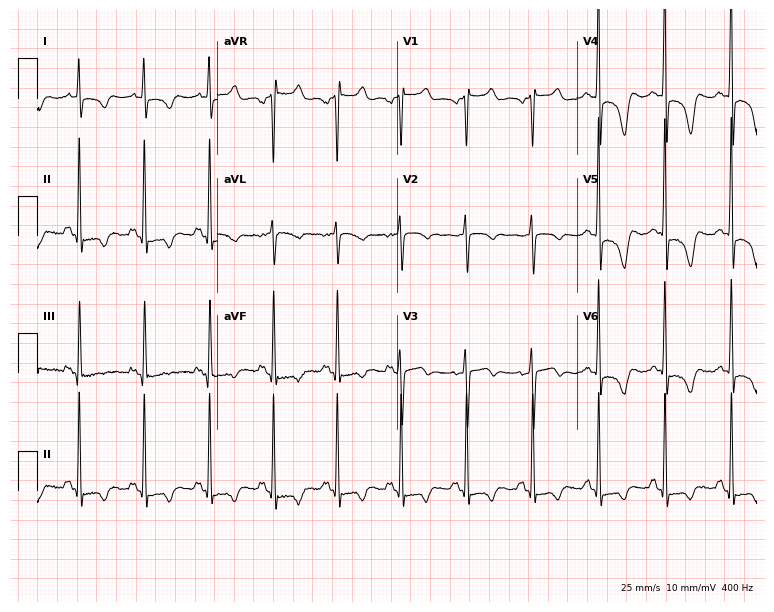
12-lead ECG from a 64-year-old man. No first-degree AV block, right bundle branch block (RBBB), left bundle branch block (LBBB), sinus bradycardia, atrial fibrillation (AF) or sinus tachycardia recorded for this tracing.